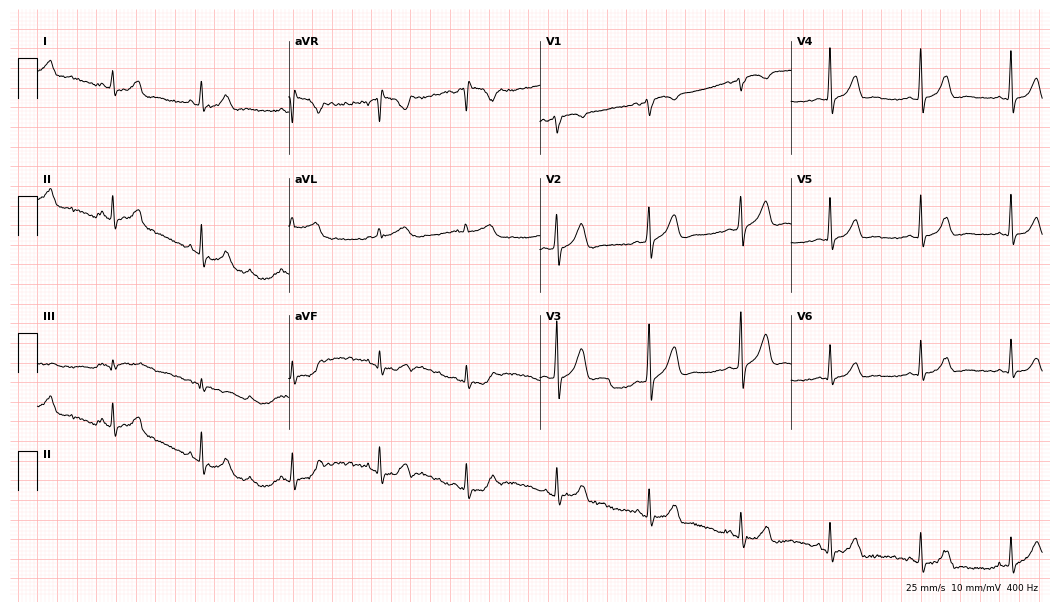
Standard 12-lead ECG recorded from a 29-year-old female patient (10.2-second recording at 400 Hz). None of these six findings is recorded: first-degree AV block, right bundle branch block, left bundle branch block, sinus bradycardia, atrial fibrillation, sinus tachycardia.